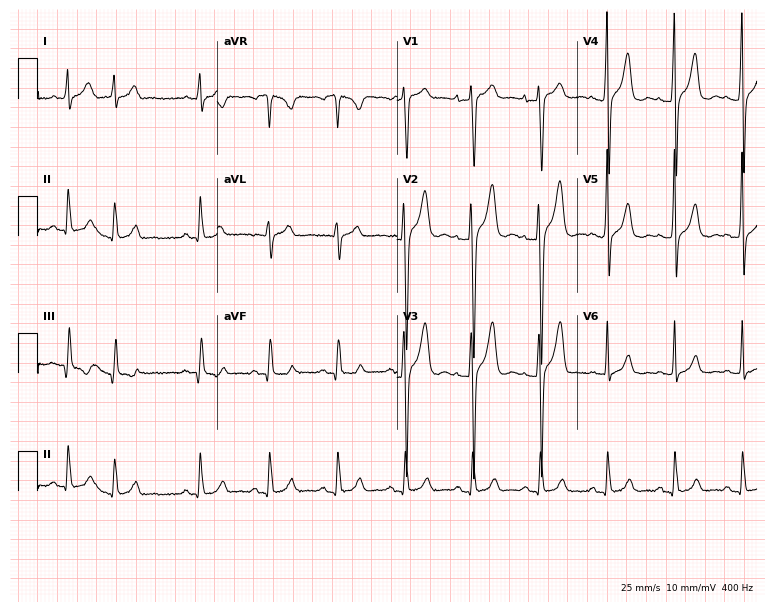
12-lead ECG from a male, 27 years old. Screened for six findings — first-degree AV block, right bundle branch block, left bundle branch block, sinus bradycardia, atrial fibrillation, sinus tachycardia — none is recorded.